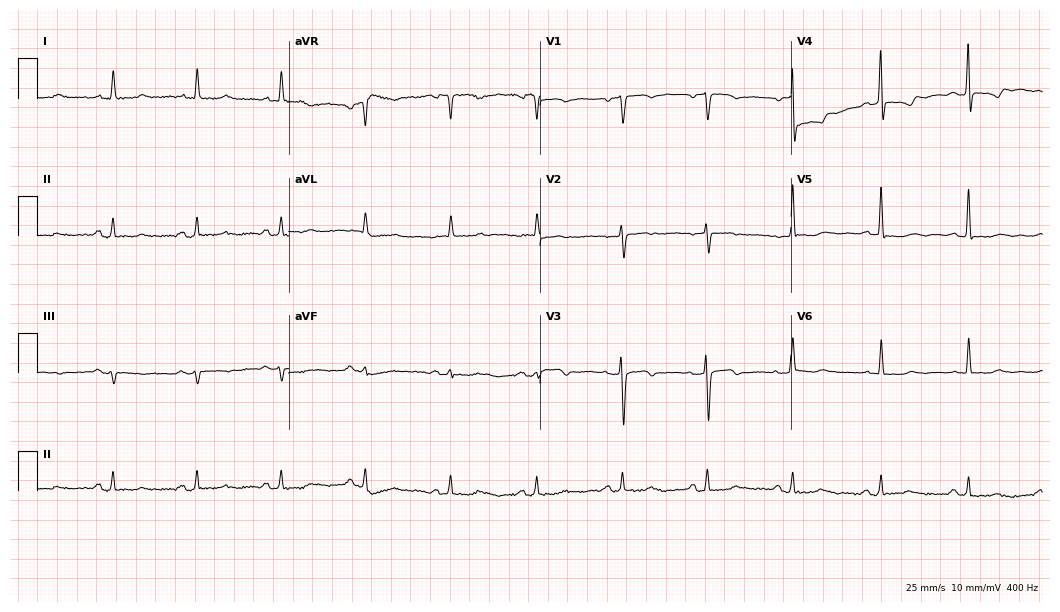
Standard 12-lead ECG recorded from a female patient, 72 years old (10.2-second recording at 400 Hz). None of these six findings is recorded: first-degree AV block, right bundle branch block, left bundle branch block, sinus bradycardia, atrial fibrillation, sinus tachycardia.